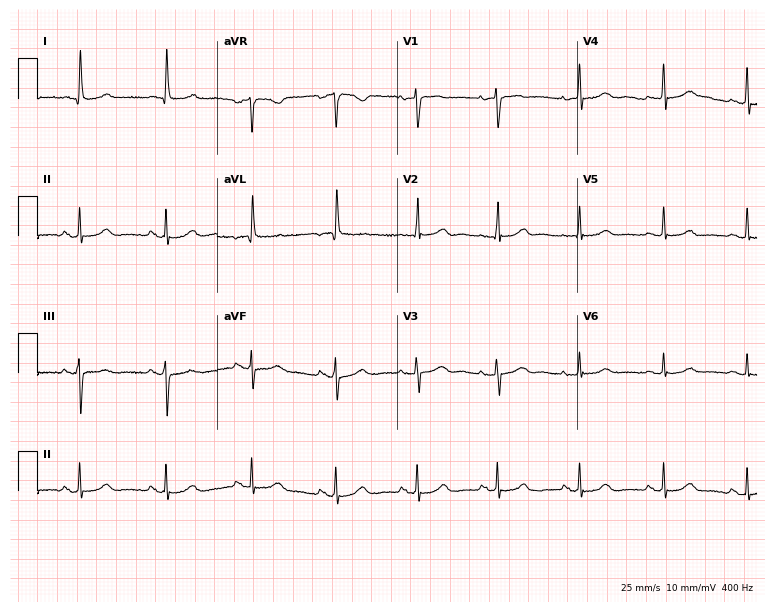
Electrocardiogram, a 79-year-old female. Overall reading on record: normal ECG.